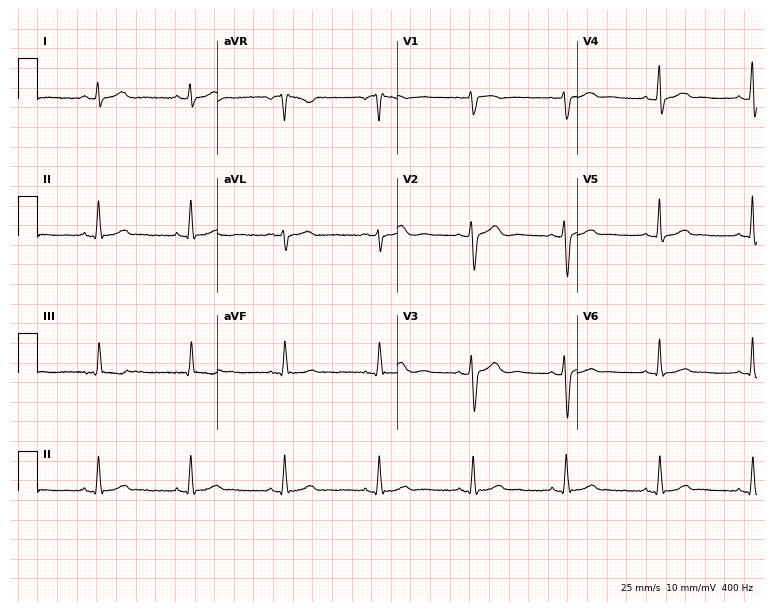
Electrocardiogram, a 41-year-old female. Overall reading on record: normal ECG.